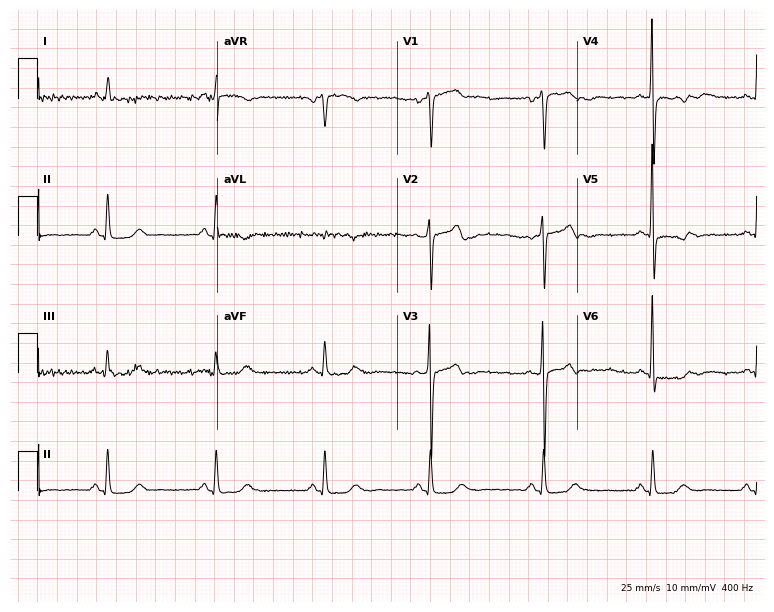
Standard 12-lead ECG recorded from a 60-year-old female patient. None of these six findings is recorded: first-degree AV block, right bundle branch block, left bundle branch block, sinus bradycardia, atrial fibrillation, sinus tachycardia.